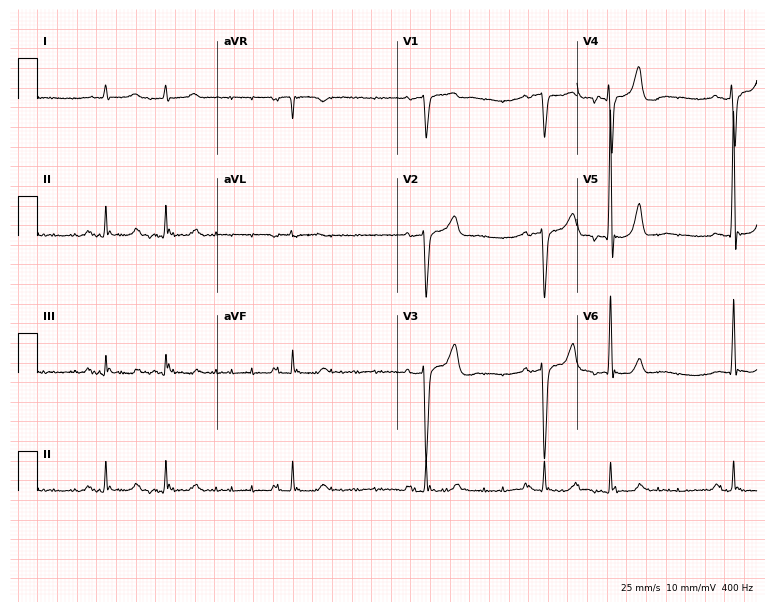
12-lead ECG from a male, 66 years old. No first-degree AV block, right bundle branch block (RBBB), left bundle branch block (LBBB), sinus bradycardia, atrial fibrillation (AF) or sinus tachycardia recorded for this tracing.